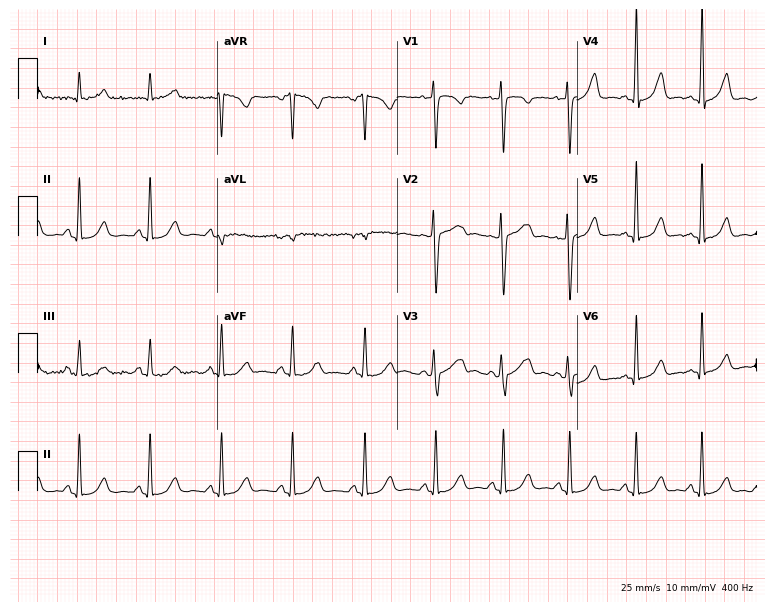
ECG — a 32-year-old female patient. Screened for six findings — first-degree AV block, right bundle branch block, left bundle branch block, sinus bradycardia, atrial fibrillation, sinus tachycardia — none is recorded. Findings outside these six are not listed.